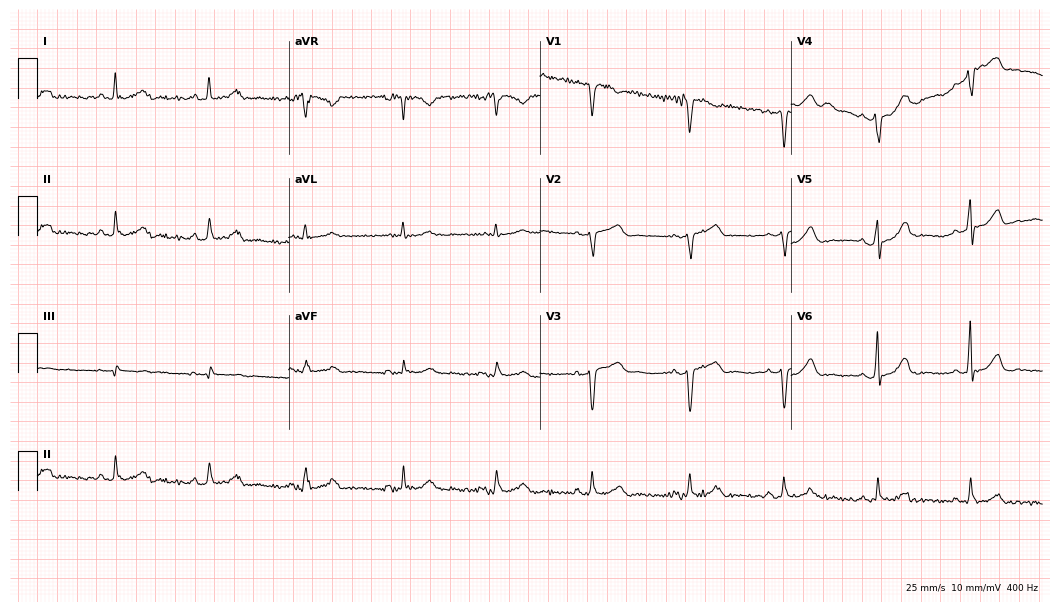
Resting 12-lead electrocardiogram. Patient: a female, 61 years old. Read as a normal ECG.